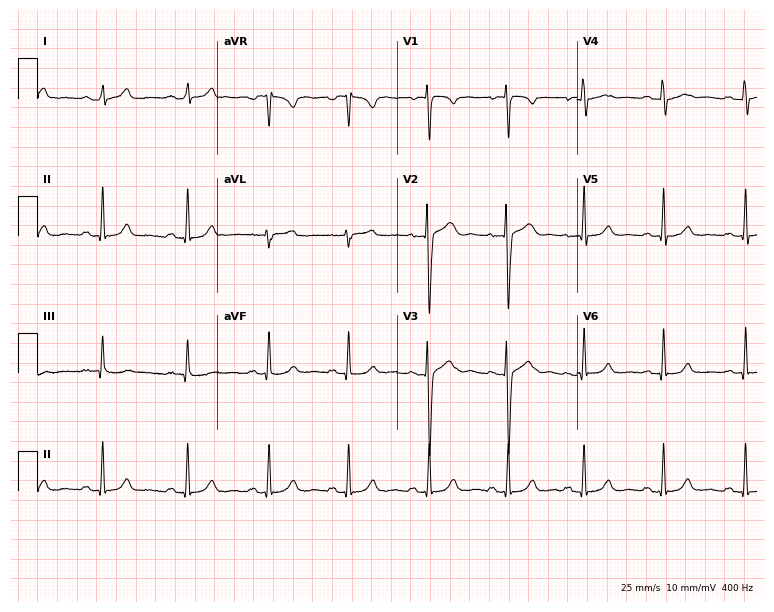
Electrocardiogram (7.3-second recording at 400 Hz), a female patient, 27 years old. Of the six screened findings (first-degree AV block, right bundle branch block (RBBB), left bundle branch block (LBBB), sinus bradycardia, atrial fibrillation (AF), sinus tachycardia), none is recorded. Other findings, if any, are not listed.